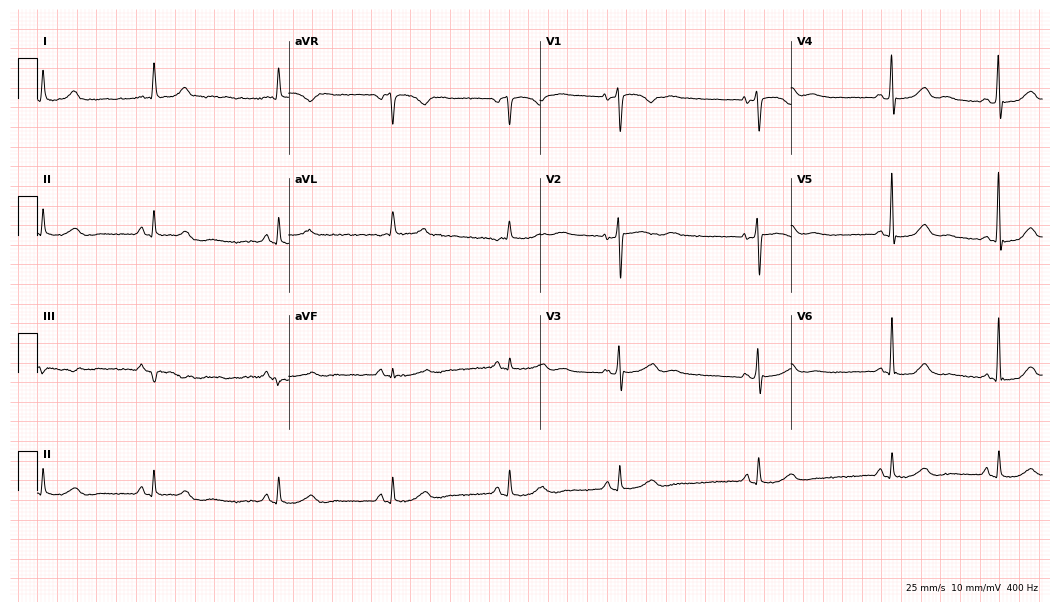
Standard 12-lead ECG recorded from a woman, 74 years old. The tracing shows sinus bradycardia (a sinus rate of 50 beats per minute or less).